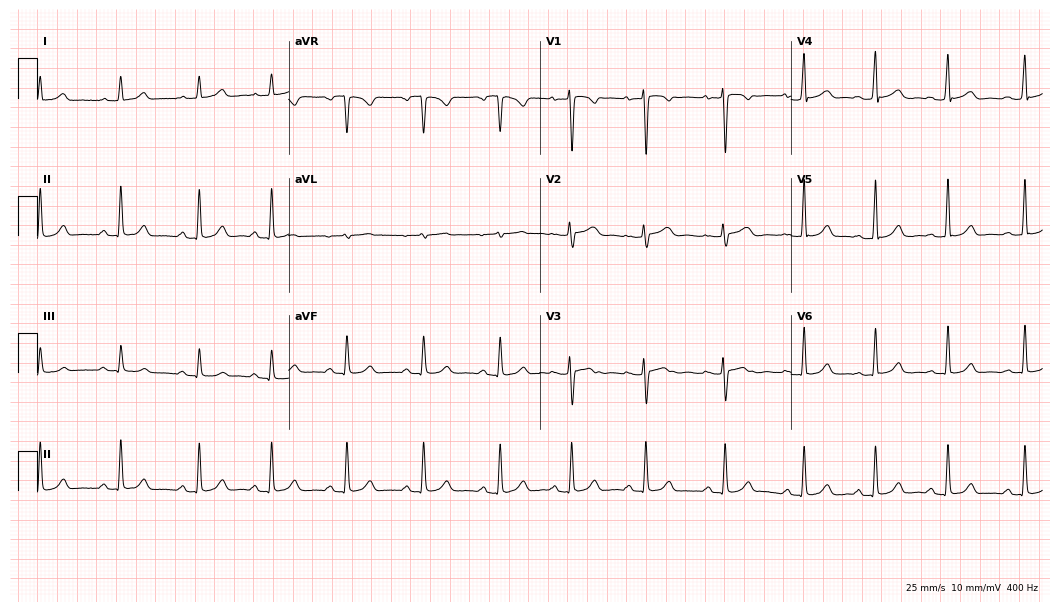
Resting 12-lead electrocardiogram (10.2-second recording at 400 Hz). Patient: a 26-year-old female. Read as a normal ECG.